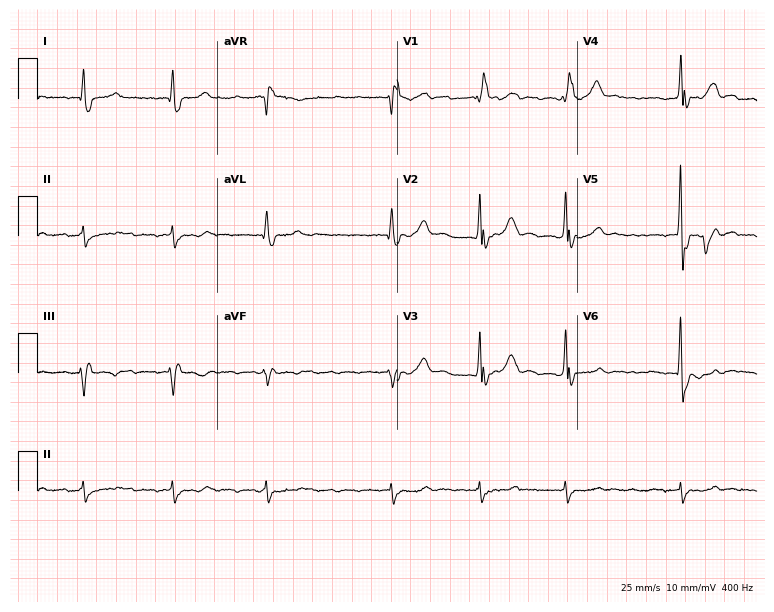
Resting 12-lead electrocardiogram (7.3-second recording at 400 Hz). Patient: a man, 80 years old. The tracing shows right bundle branch block, atrial fibrillation.